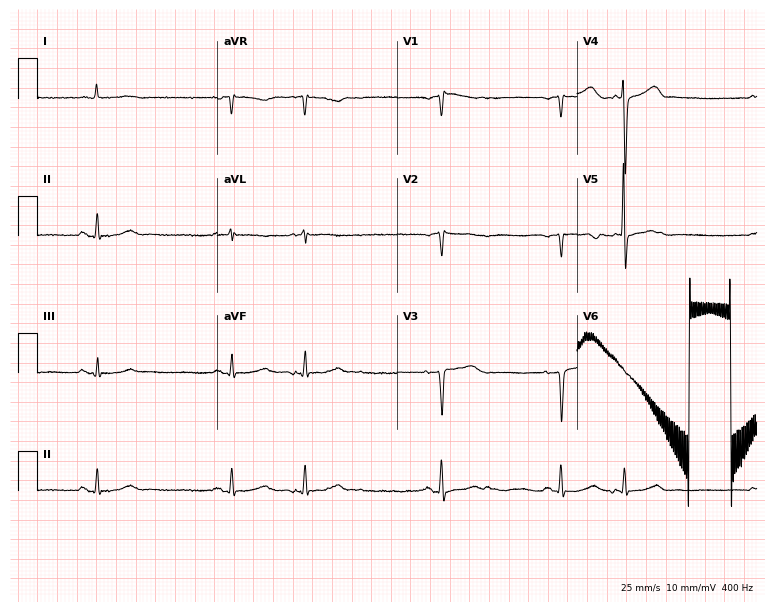
Electrocardiogram (7.3-second recording at 400 Hz), a woman, 84 years old. Interpretation includes atrial fibrillation.